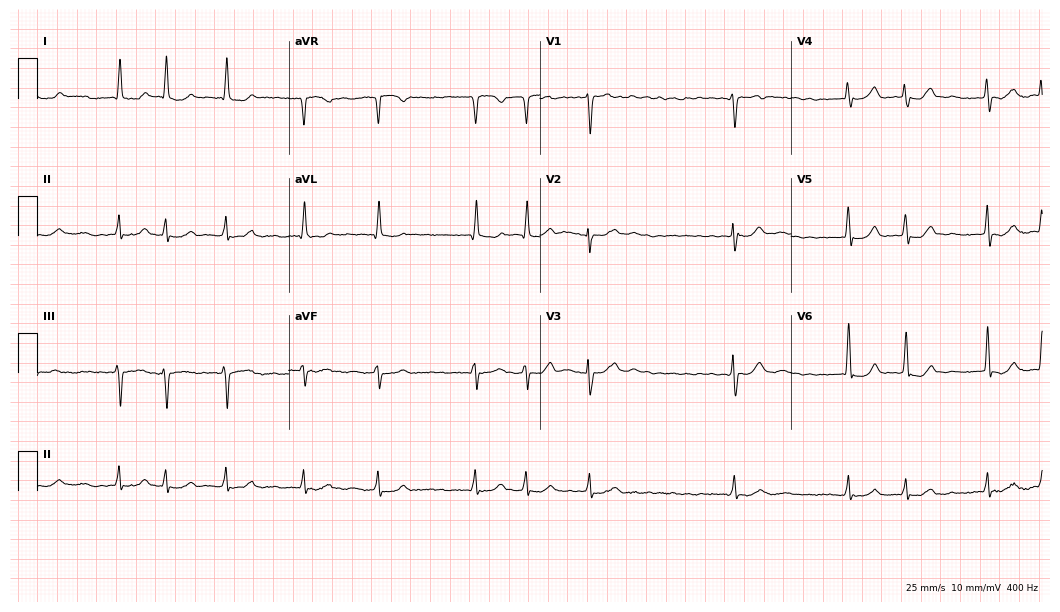
12-lead ECG from a female, 84 years old. Findings include atrial fibrillation.